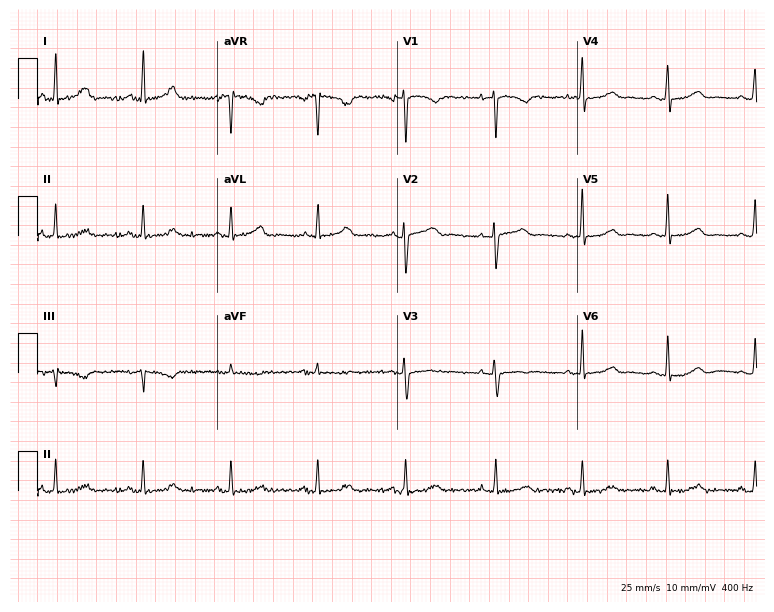
12-lead ECG from a 35-year-old female. Recorded interpretation: within normal limits.